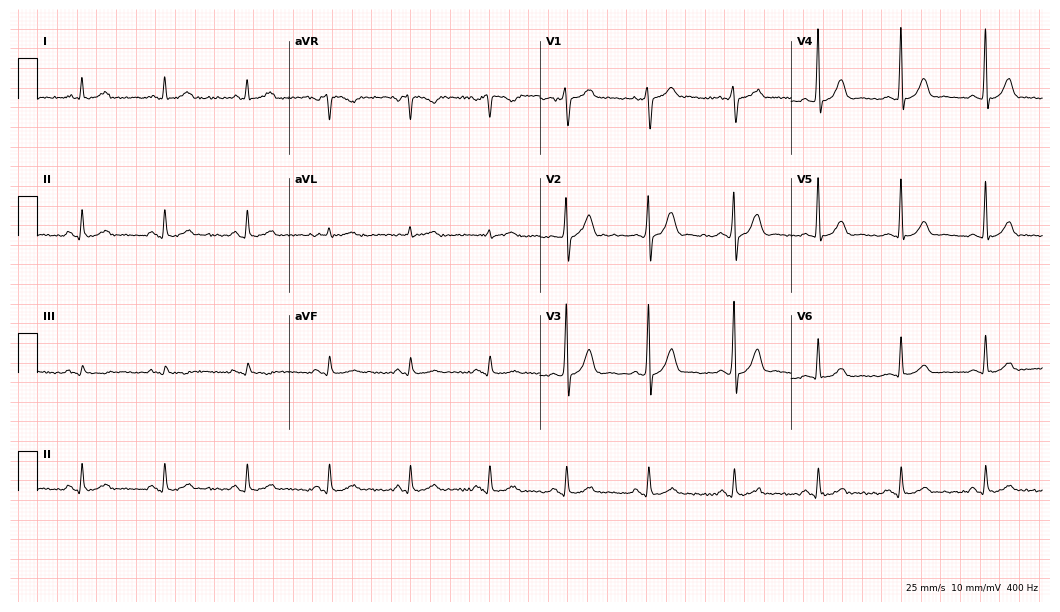
12-lead ECG from a 61-year-old male. Recorded interpretation: within normal limits.